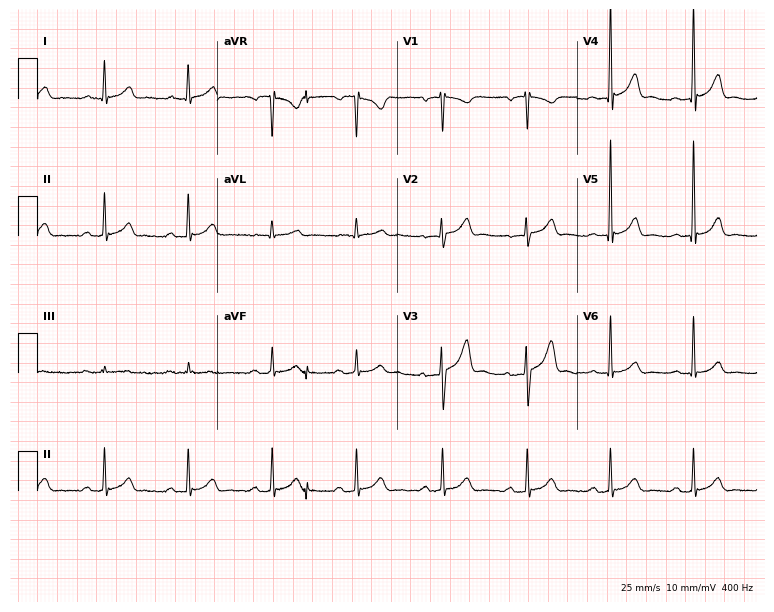
Electrocardiogram (7.3-second recording at 400 Hz), a male patient, 37 years old. Overall reading on record: normal ECG.